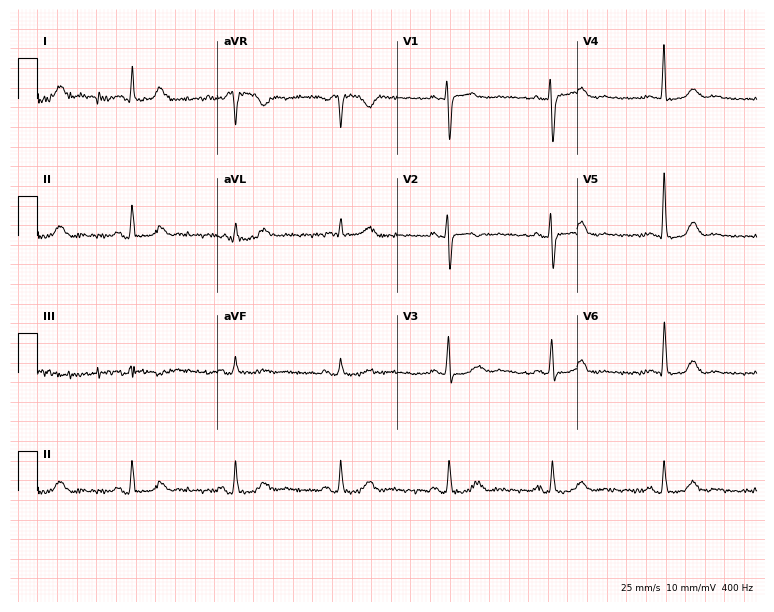
Electrocardiogram (7.3-second recording at 400 Hz), a 60-year-old female. Of the six screened findings (first-degree AV block, right bundle branch block, left bundle branch block, sinus bradycardia, atrial fibrillation, sinus tachycardia), none is recorded.